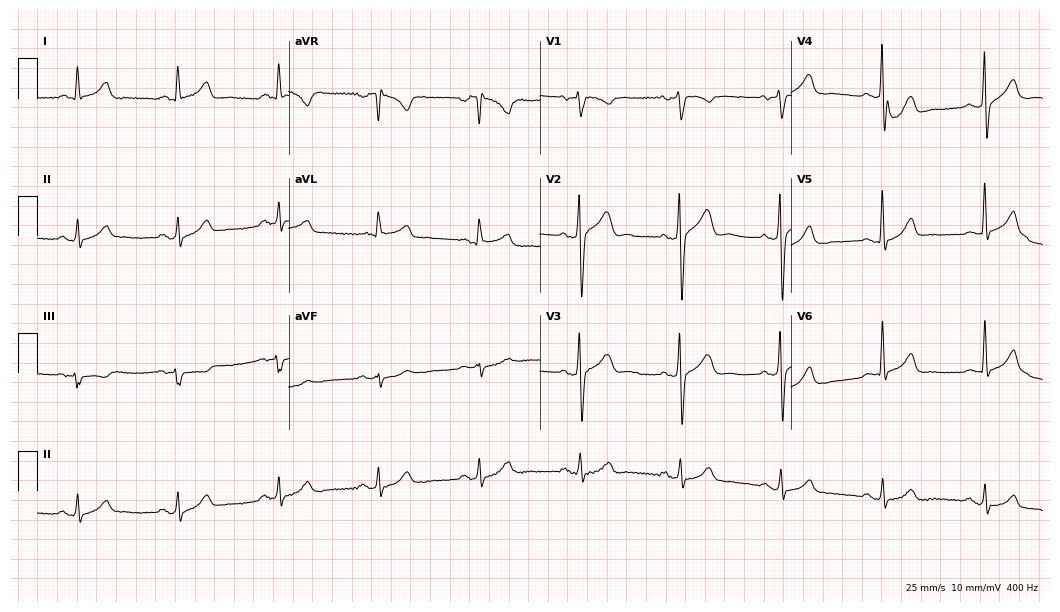
Resting 12-lead electrocardiogram (10.2-second recording at 400 Hz). Patient: a man, 64 years old. None of these six findings is recorded: first-degree AV block, right bundle branch block, left bundle branch block, sinus bradycardia, atrial fibrillation, sinus tachycardia. Other findings, if any, are not listed.